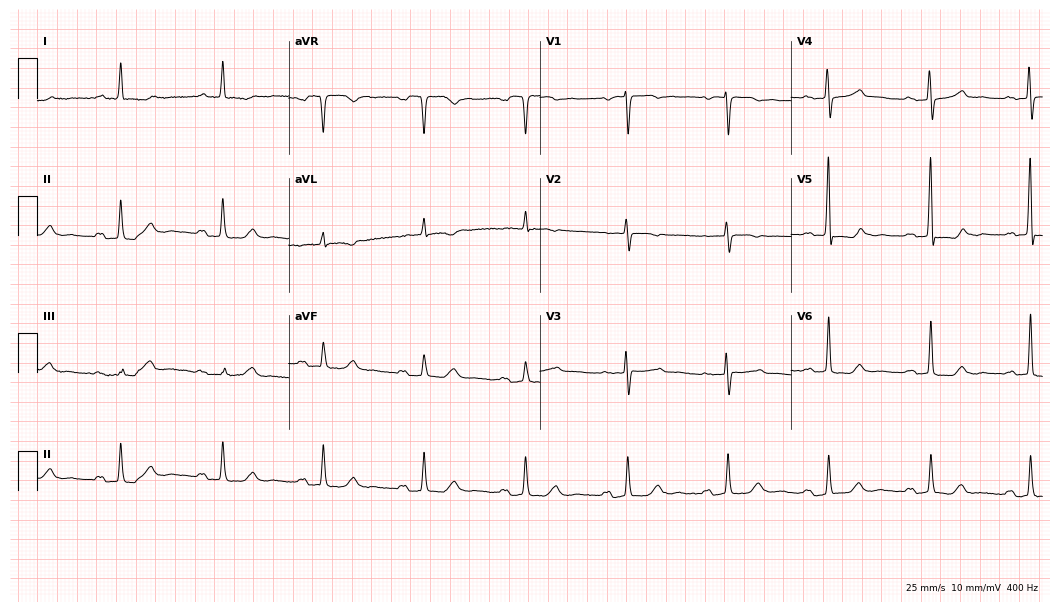
Resting 12-lead electrocardiogram (10.2-second recording at 400 Hz). Patient: a female, 67 years old. The tracing shows first-degree AV block.